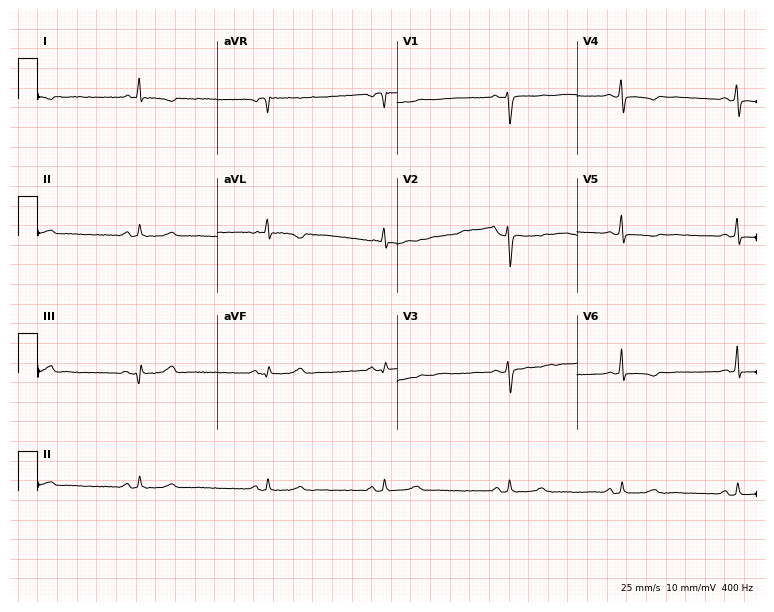
ECG (7.3-second recording at 400 Hz) — a woman, 50 years old. Screened for six findings — first-degree AV block, right bundle branch block, left bundle branch block, sinus bradycardia, atrial fibrillation, sinus tachycardia — none is recorded. Only these six findings were labelled.